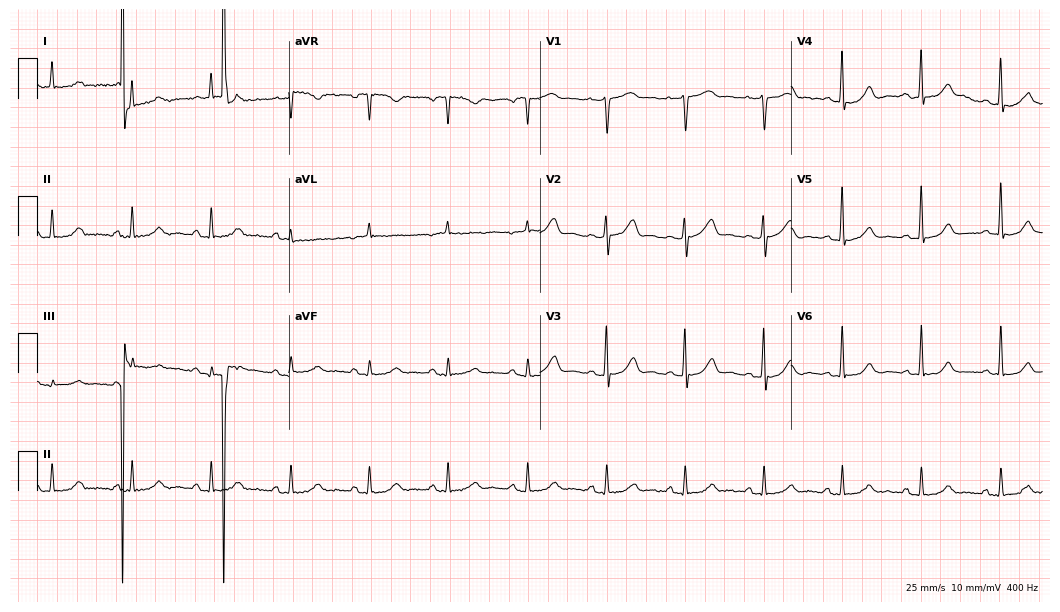
12-lead ECG (10.2-second recording at 400 Hz) from a female, 59 years old. Labelled as a normal ECG.